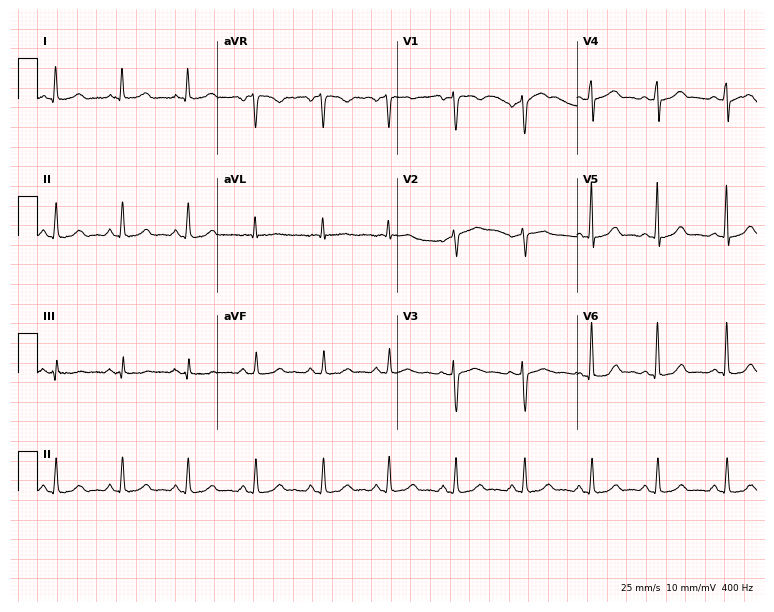
Standard 12-lead ECG recorded from a woman, 49 years old. Read as a normal ECG.